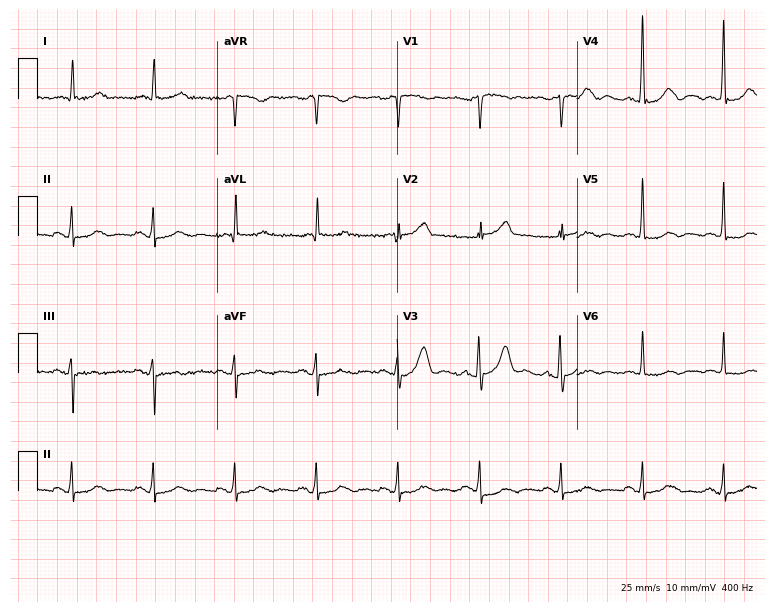
ECG (7.3-second recording at 400 Hz) — a male patient, 81 years old. Screened for six findings — first-degree AV block, right bundle branch block (RBBB), left bundle branch block (LBBB), sinus bradycardia, atrial fibrillation (AF), sinus tachycardia — none is recorded.